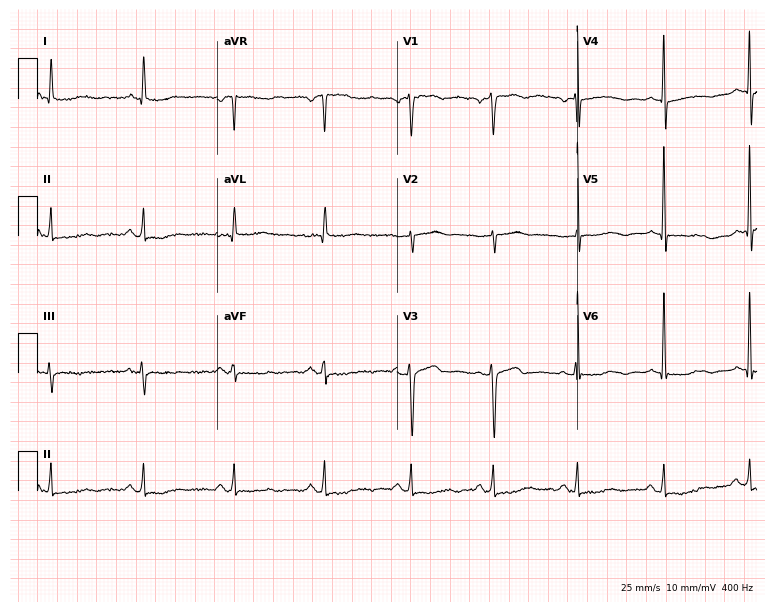
Electrocardiogram, a 68-year-old female patient. Of the six screened findings (first-degree AV block, right bundle branch block, left bundle branch block, sinus bradycardia, atrial fibrillation, sinus tachycardia), none is recorded.